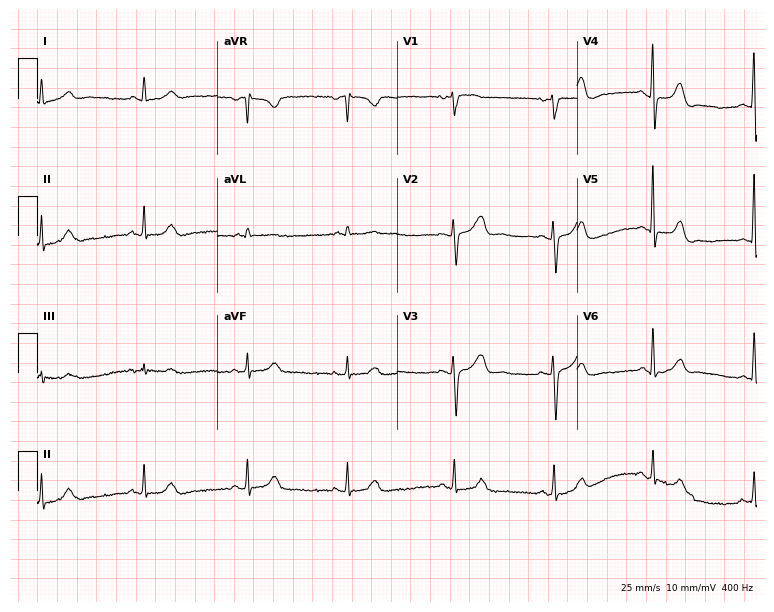
12-lead ECG from a female, 63 years old. Screened for six findings — first-degree AV block, right bundle branch block, left bundle branch block, sinus bradycardia, atrial fibrillation, sinus tachycardia — none is recorded.